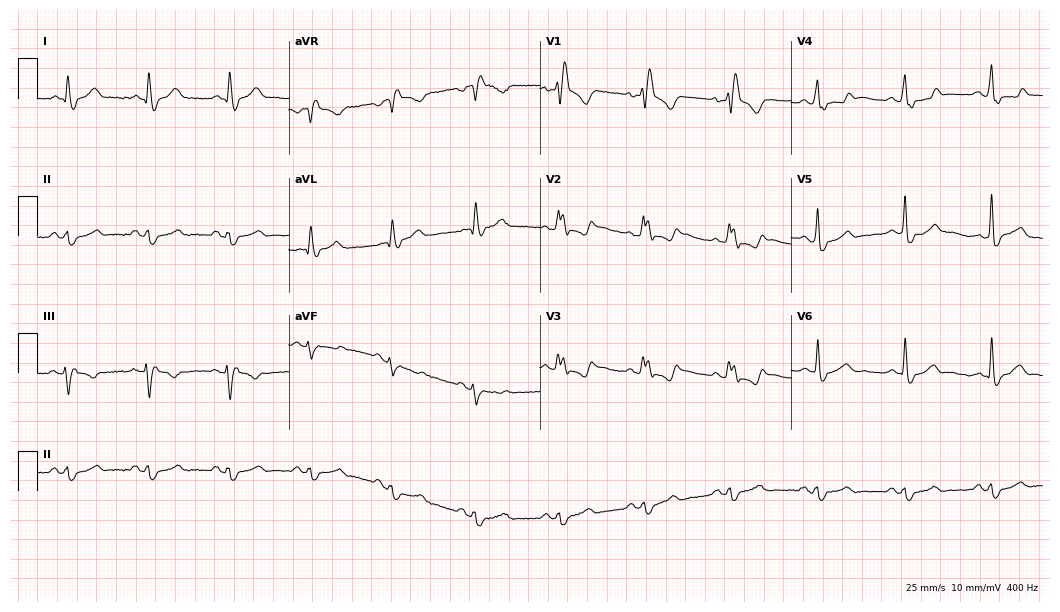
12-lead ECG from a man, 51 years old. Shows right bundle branch block.